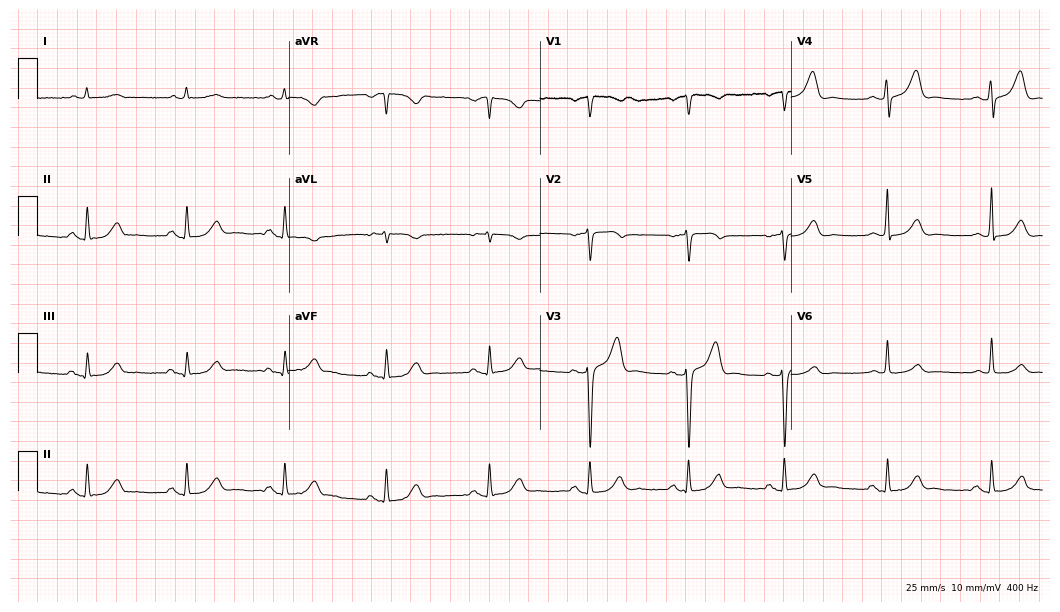
12-lead ECG from a 74-year-old male patient. No first-degree AV block, right bundle branch block, left bundle branch block, sinus bradycardia, atrial fibrillation or sinus tachycardia recorded for this tracing.